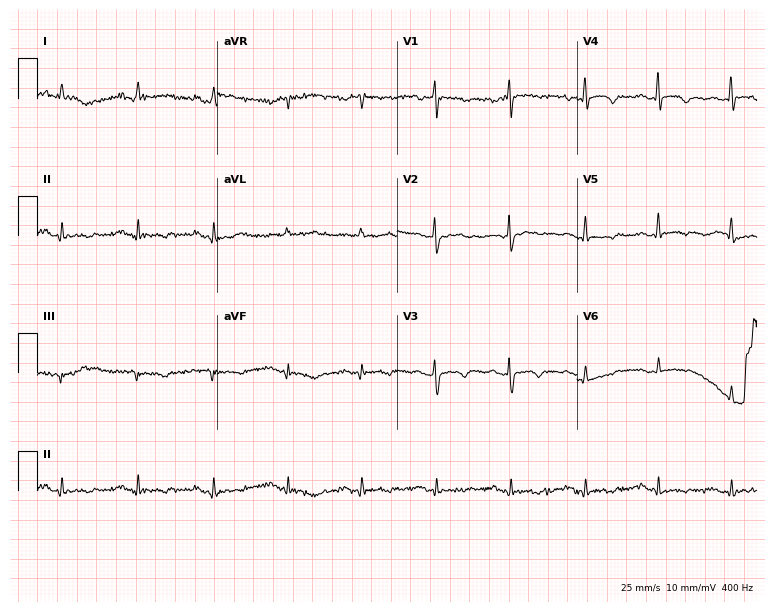
Electrocardiogram, a female, 80 years old. Of the six screened findings (first-degree AV block, right bundle branch block, left bundle branch block, sinus bradycardia, atrial fibrillation, sinus tachycardia), none is recorded. Other findings, if any, are not listed.